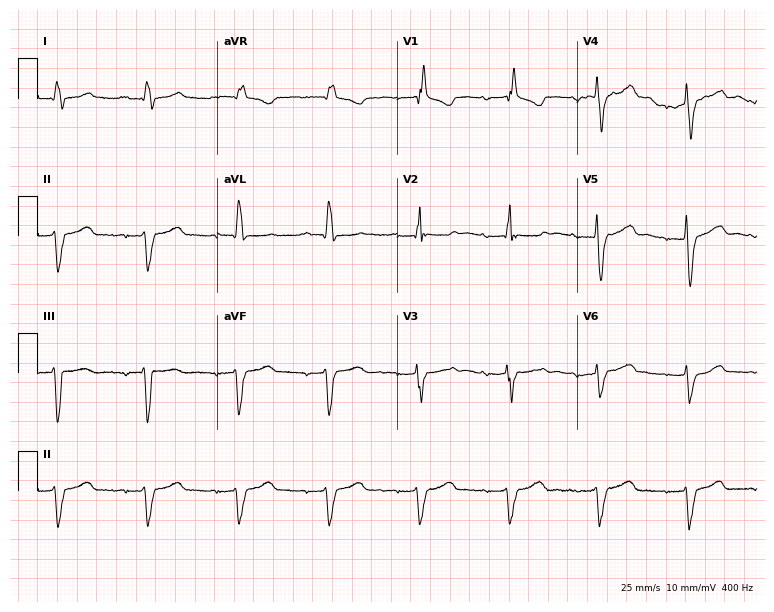
Resting 12-lead electrocardiogram (7.3-second recording at 400 Hz). Patient: a woman, 75 years old. None of these six findings is recorded: first-degree AV block, right bundle branch block, left bundle branch block, sinus bradycardia, atrial fibrillation, sinus tachycardia.